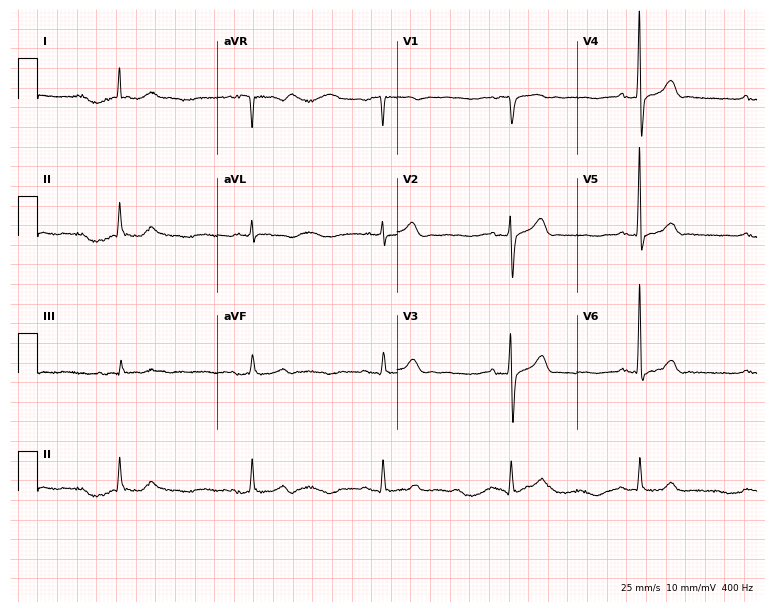
12-lead ECG (7.3-second recording at 400 Hz) from a 72-year-old man. Findings include sinus bradycardia (a sinus rate of 50 beats per minute or less).